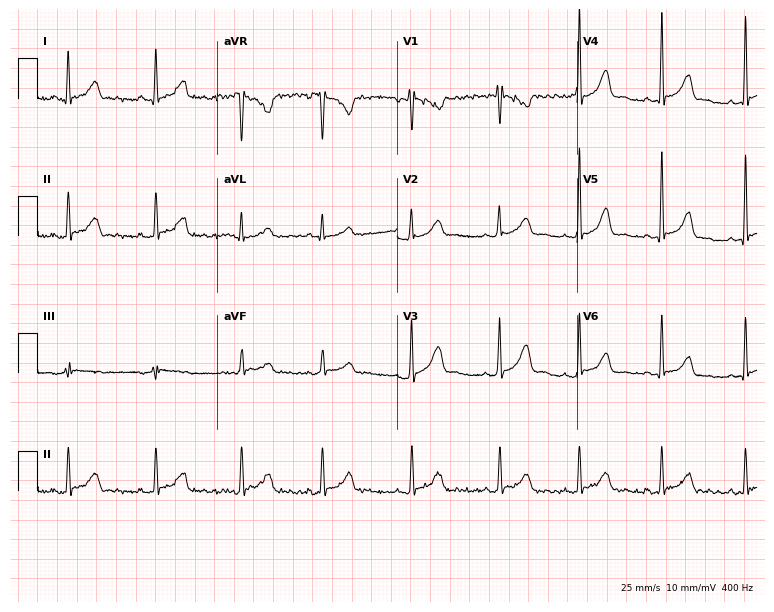
ECG — a female, 27 years old. Screened for six findings — first-degree AV block, right bundle branch block, left bundle branch block, sinus bradycardia, atrial fibrillation, sinus tachycardia — none is recorded. Other findings, if any, are not listed.